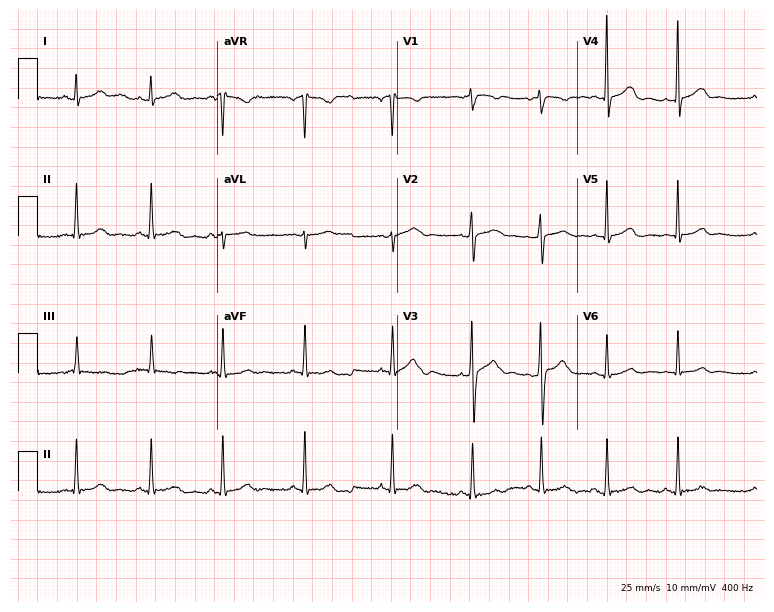
Standard 12-lead ECG recorded from a 19-year-old female patient (7.3-second recording at 400 Hz). Read as a normal ECG.